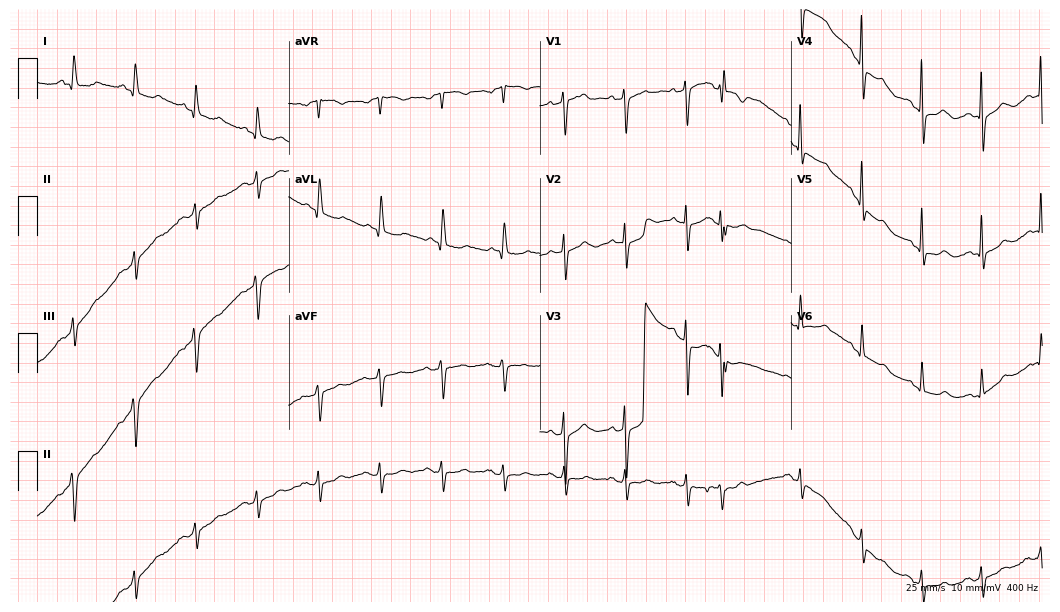
Electrocardiogram, a 79-year-old female patient. Of the six screened findings (first-degree AV block, right bundle branch block (RBBB), left bundle branch block (LBBB), sinus bradycardia, atrial fibrillation (AF), sinus tachycardia), none is recorded.